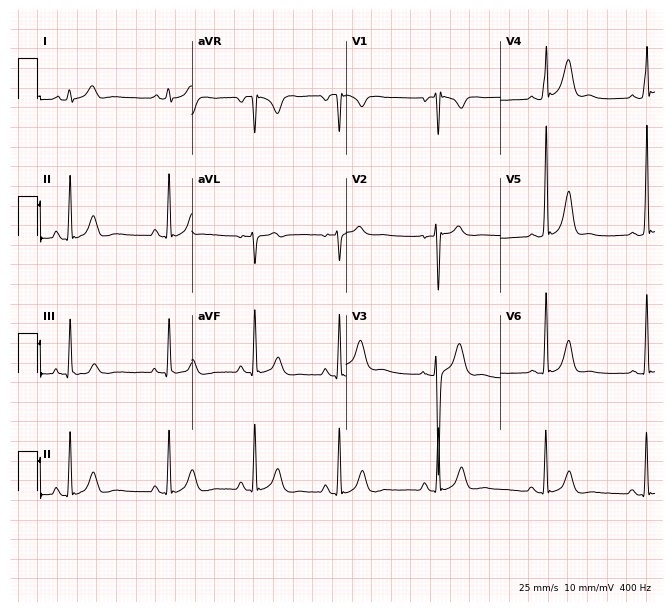
Resting 12-lead electrocardiogram (6.3-second recording at 400 Hz). Patient: a female, 22 years old. None of these six findings is recorded: first-degree AV block, right bundle branch block, left bundle branch block, sinus bradycardia, atrial fibrillation, sinus tachycardia. Only these six findings were labelled.